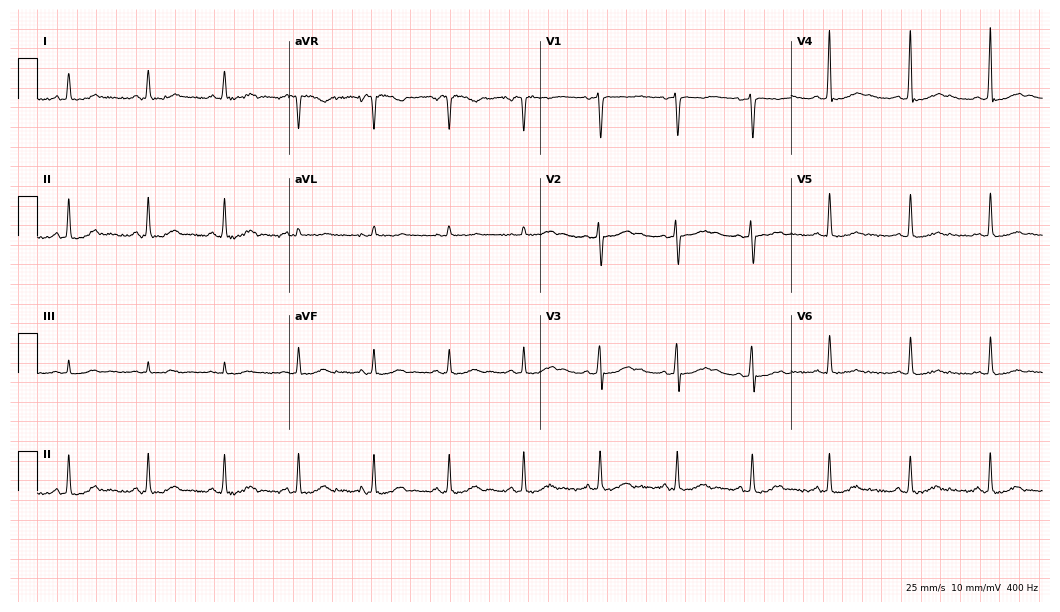
12-lead ECG (10.2-second recording at 400 Hz) from a 39-year-old female. Screened for six findings — first-degree AV block, right bundle branch block, left bundle branch block, sinus bradycardia, atrial fibrillation, sinus tachycardia — none is recorded. Only these six findings were labelled.